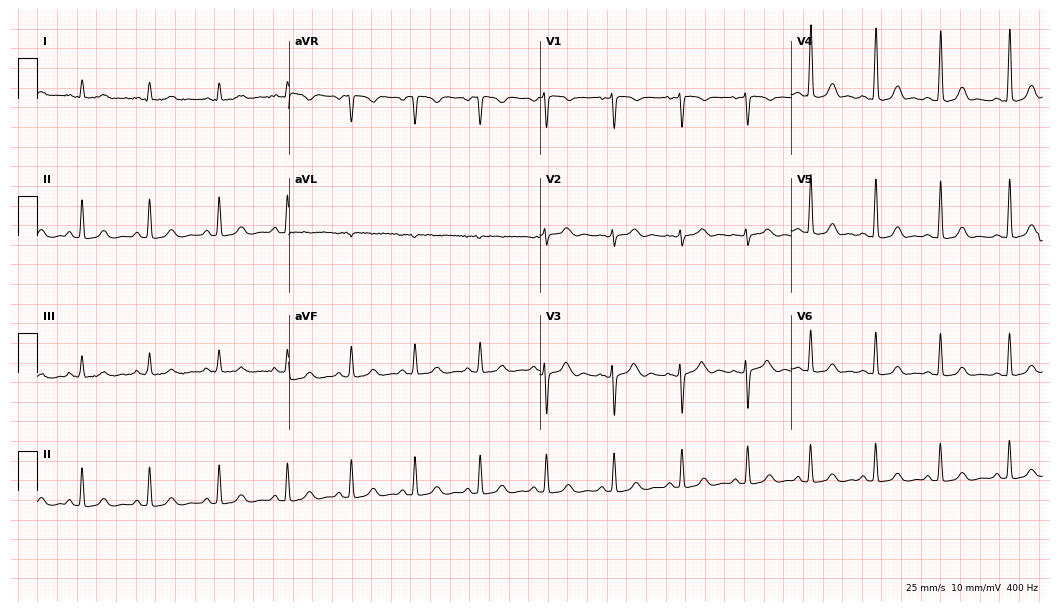
Electrocardiogram (10.2-second recording at 400 Hz), a female patient, 29 years old. Overall reading on record: normal ECG.